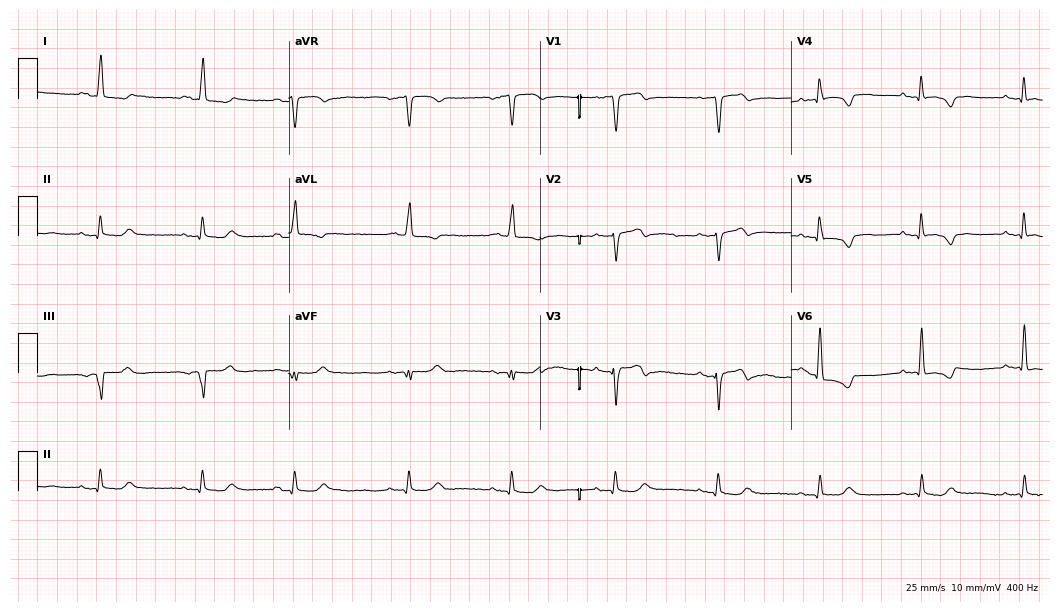
ECG (10.2-second recording at 400 Hz) — an 81-year-old male patient. Screened for six findings — first-degree AV block, right bundle branch block (RBBB), left bundle branch block (LBBB), sinus bradycardia, atrial fibrillation (AF), sinus tachycardia — none is recorded. Findings outside these six are not listed.